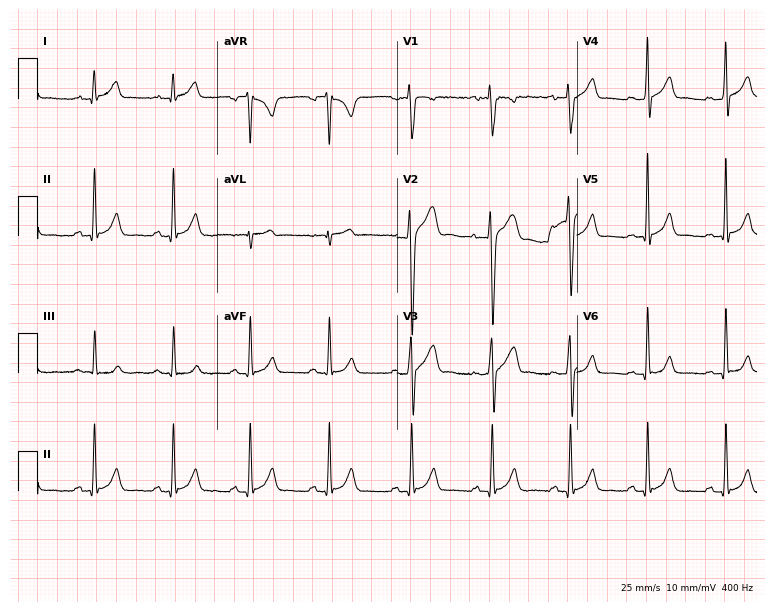
Standard 12-lead ECG recorded from a man, 25 years old. None of these six findings is recorded: first-degree AV block, right bundle branch block (RBBB), left bundle branch block (LBBB), sinus bradycardia, atrial fibrillation (AF), sinus tachycardia.